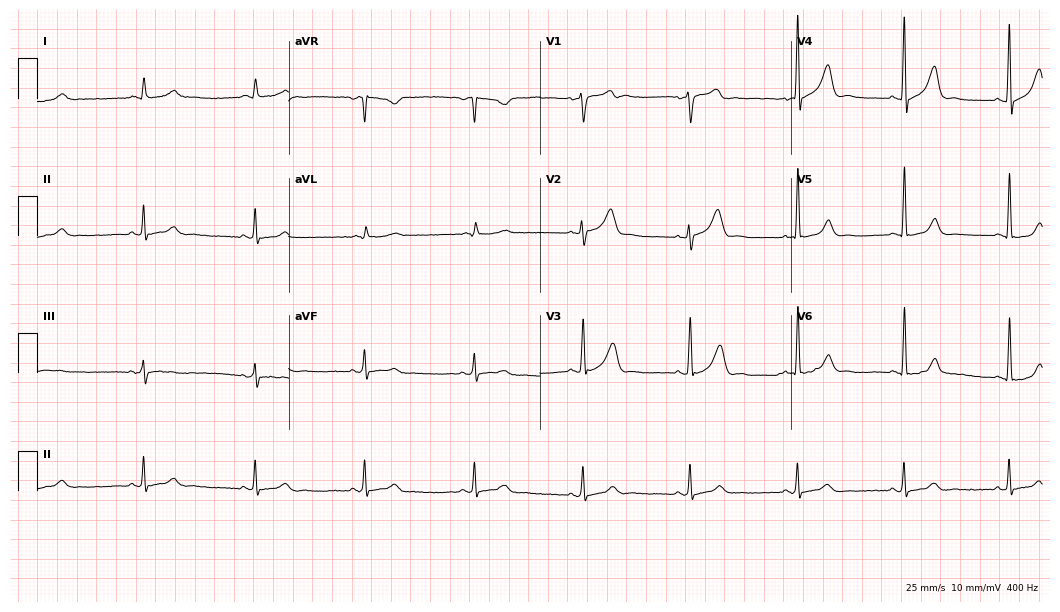
Standard 12-lead ECG recorded from a male patient, 76 years old (10.2-second recording at 400 Hz). Read as a normal ECG.